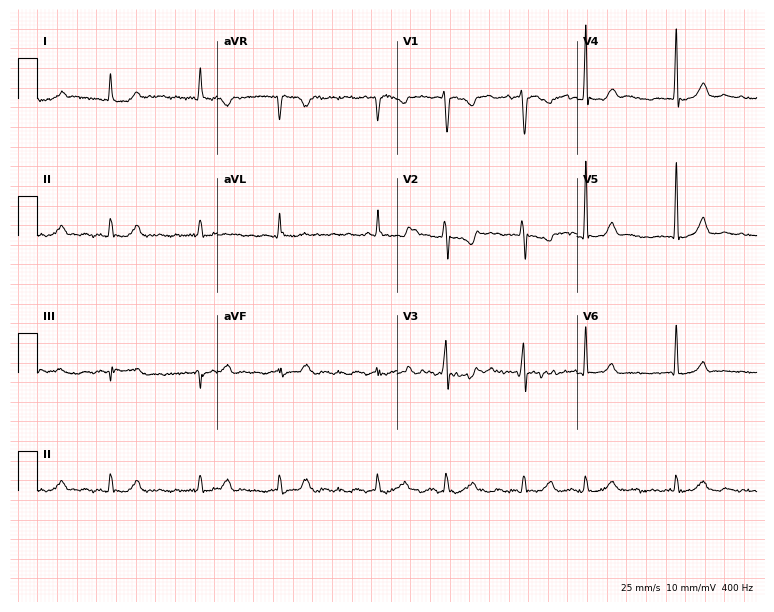
Resting 12-lead electrocardiogram. Patient: a 38-year-old female. The tracing shows atrial fibrillation (AF).